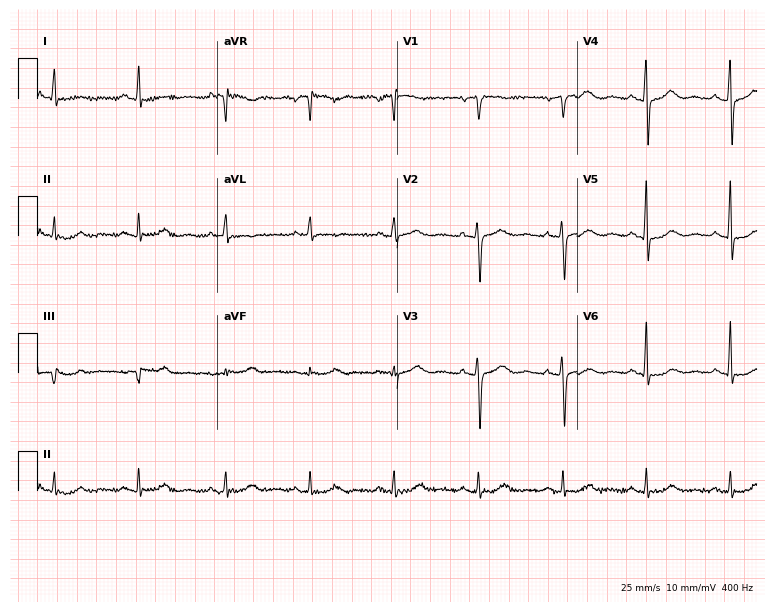
12-lead ECG from a male, 66 years old. Screened for six findings — first-degree AV block, right bundle branch block, left bundle branch block, sinus bradycardia, atrial fibrillation, sinus tachycardia — none is recorded. Other findings, if any, are not listed.